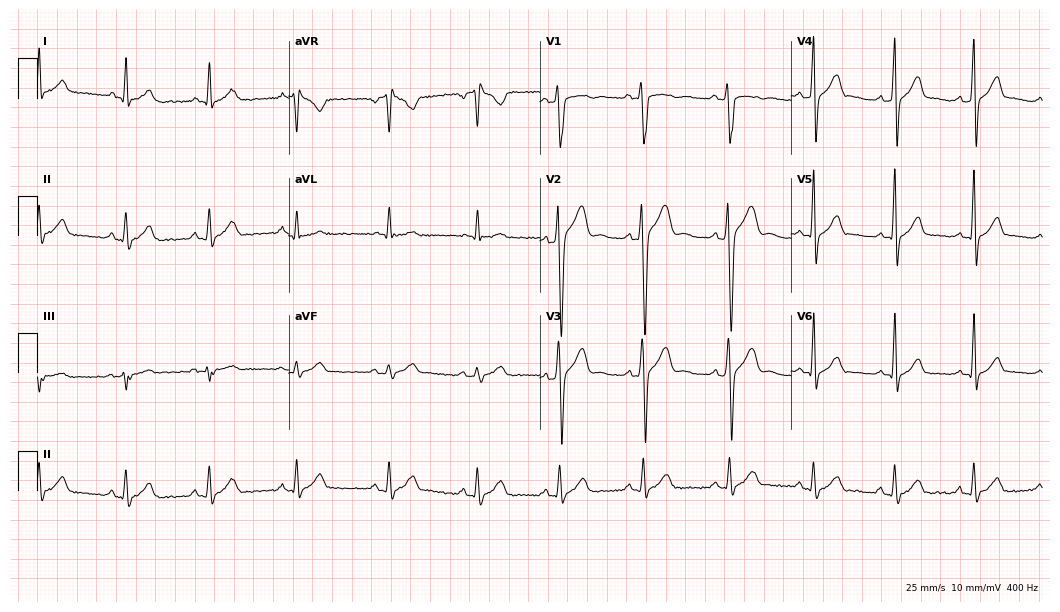
Resting 12-lead electrocardiogram. Patient: a 21-year-old male. Read as a normal ECG.